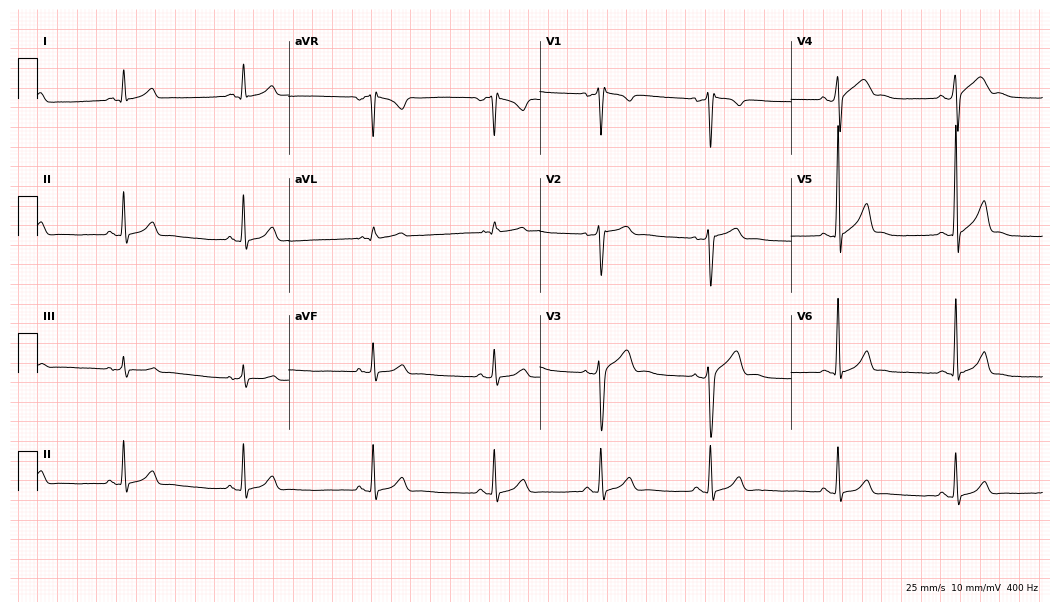
12-lead ECG from a 23-year-old male patient. Recorded interpretation: within normal limits.